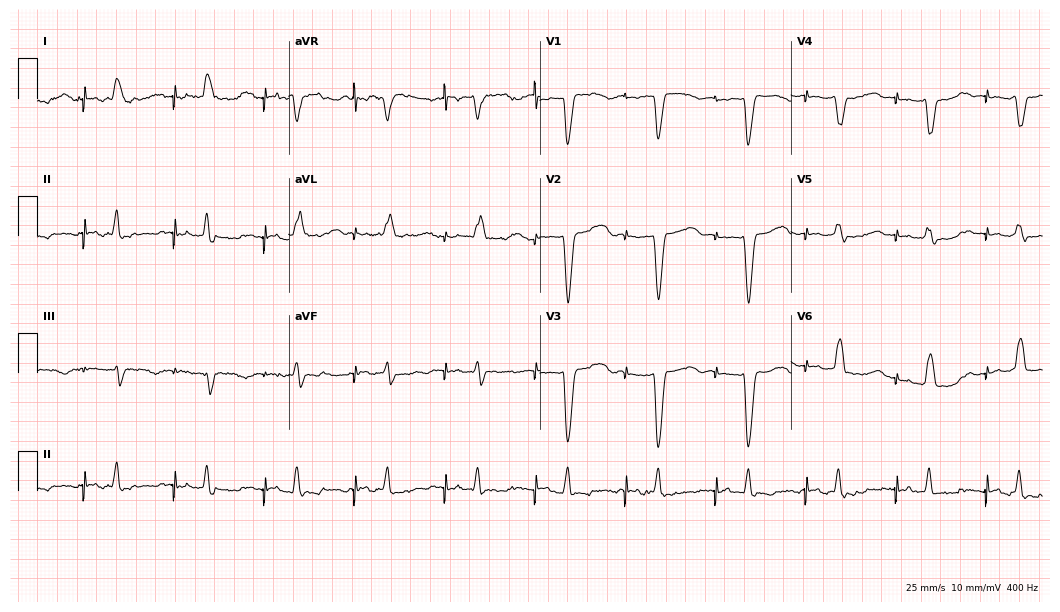
ECG (10.2-second recording at 400 Hz) — a female patient, 77 years old. Screened for six findings — first-degree AV block, right bundle branch block (RBBB), left bundle branch block (LBBB), sinus bradycardia, atrial fibrillation (AF), sinus tachycardia — none is recorded. Findings outside these six are not listed.